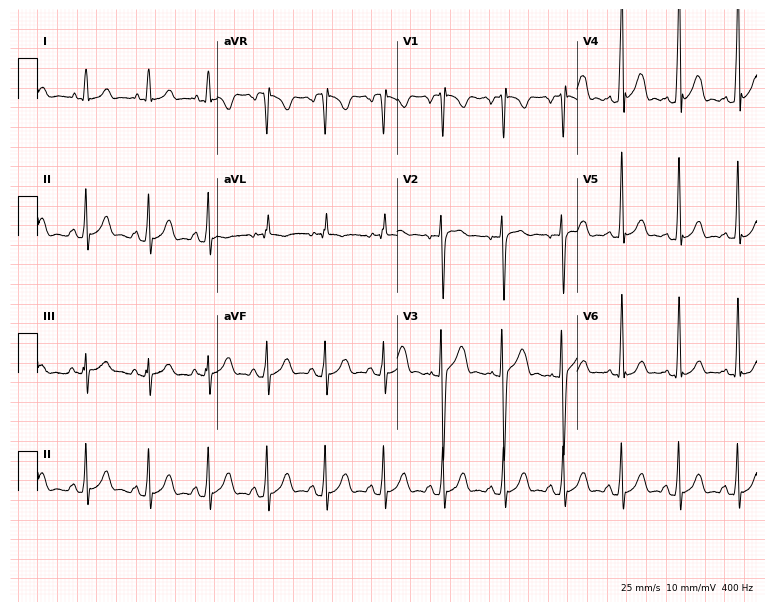
Standard 12-lead ECG recorded from a 17-year-old male. None of these six findings is recorded: first-degree AV block, right bundle branch block (RBBB), left bundle branch block (LBBB), sinus bradycardia, atrial fibrillation (AF), sinus tachycardia.